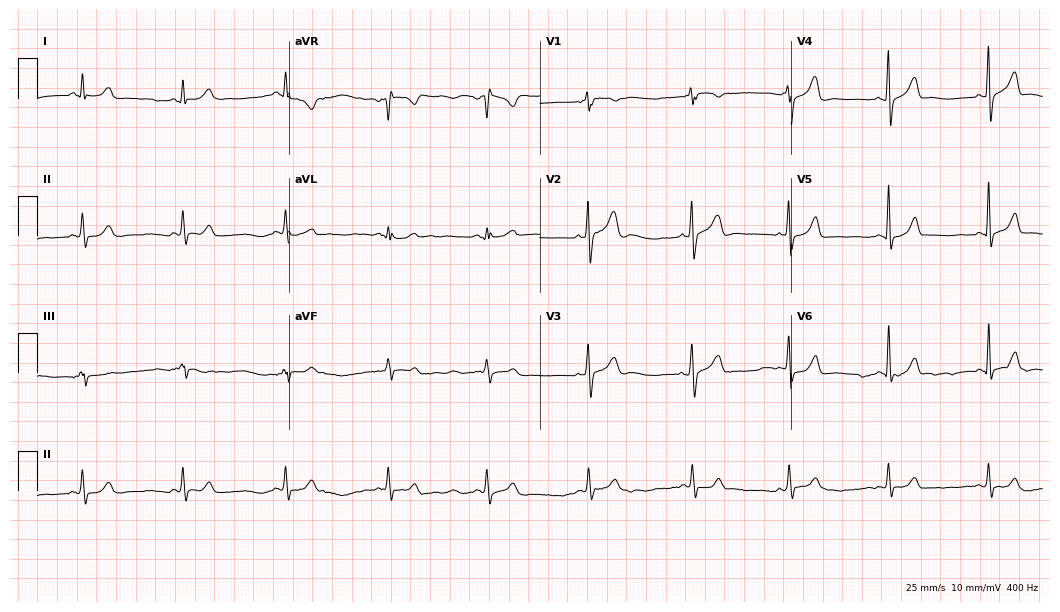
12-lead ECG (10.2-second recording at 400 Hz) from a 26-year-old woman. Labelled as a normal ECG.